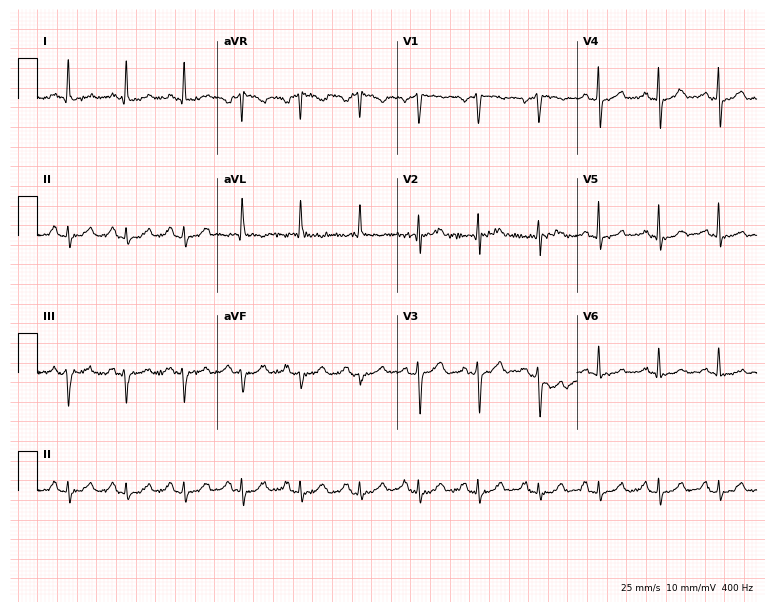
Standard 12-lead ECG recorded from a 61-year-old male (7.3-second recording at 400 Hz). Read as a normal ECG.